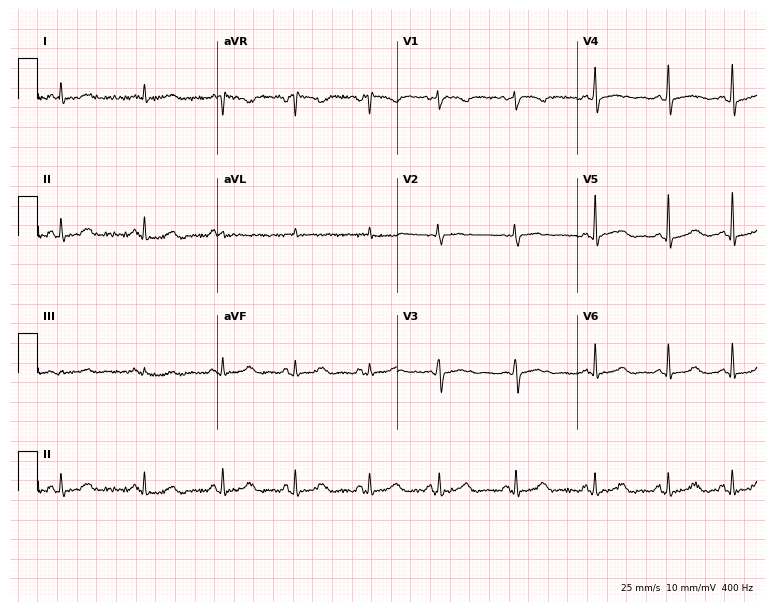
Standard 12-lead ECG recorded from a woman, 37 years old (7.3-second recording at 400 Hz). Read as a normal ECG.